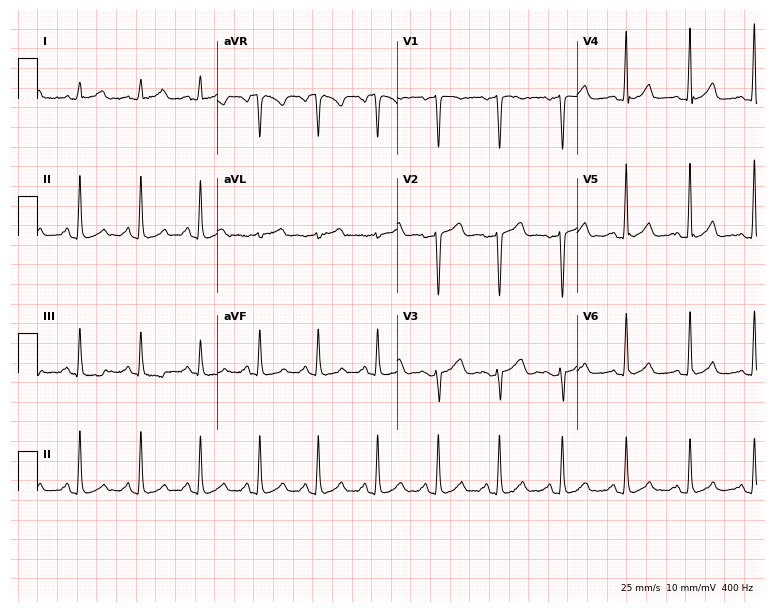
Resting 12-lead electrocardiogram. Patient: a woman, 34 years old. Read as a normal ECG.